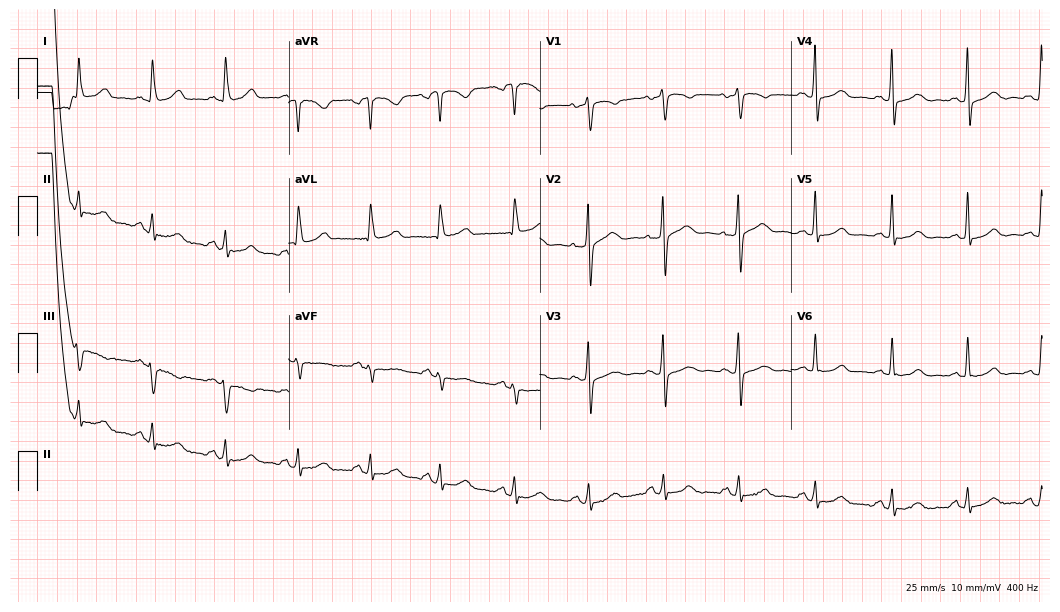
Standard 12-lead ECG recorded from a 54-year-old female patient. Read as a normal ECG.